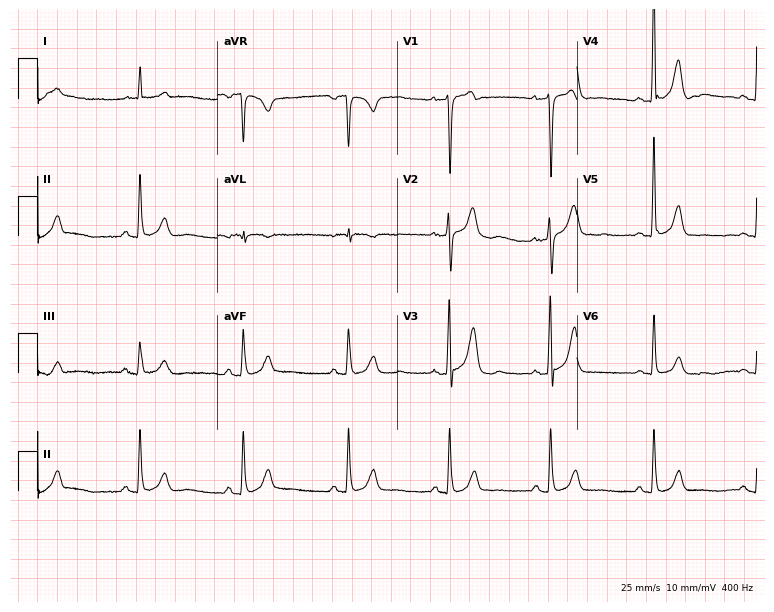
ECG — a male patient, 72 years old. Screened for six findings — first-degree AV block, right bundle branch block, left bundle branch block, sinus bradycardia, atrial fibrillation, sinus tachycardia — none is recorded.